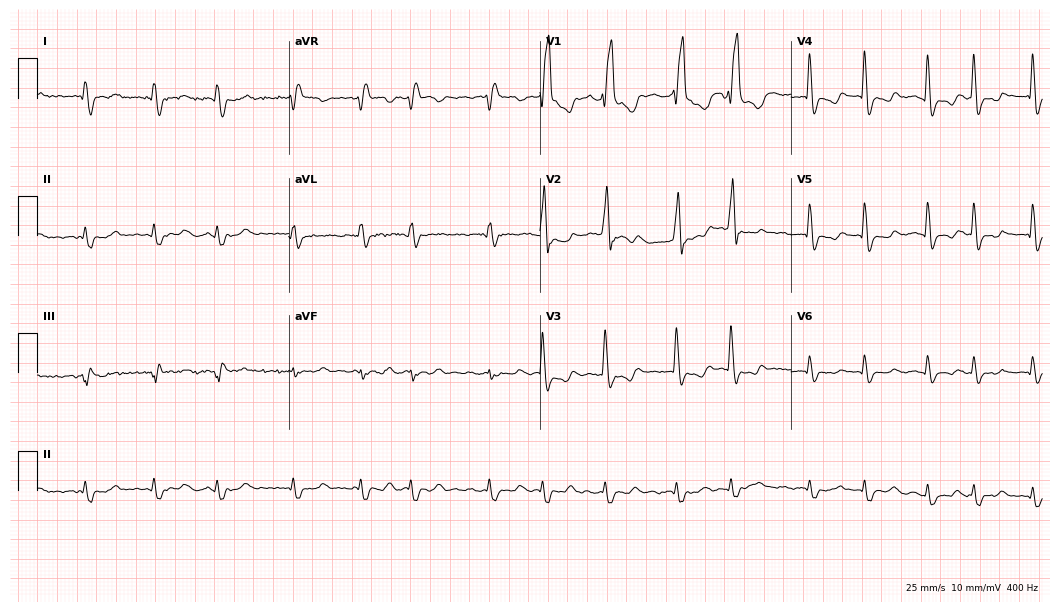
12-lead ECG (10.2-second recording at 400 Hz) from a male patient, 75 years old. Screened for six findings — first-degree AV block, right bundle branch block, left bundle branch block, sinus bradycardia, atrial fibrillation, sinus tachycardia — none is recorded.